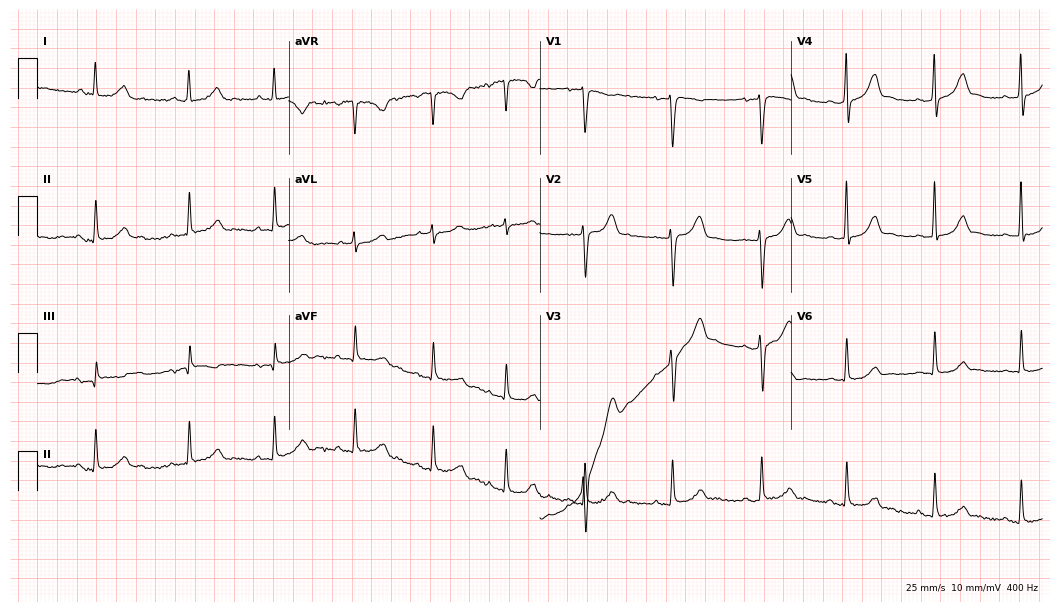
ECG (10.2-second recording at 400 Hz) — a female patient, 39 years old. Labelled as a normal ECG.